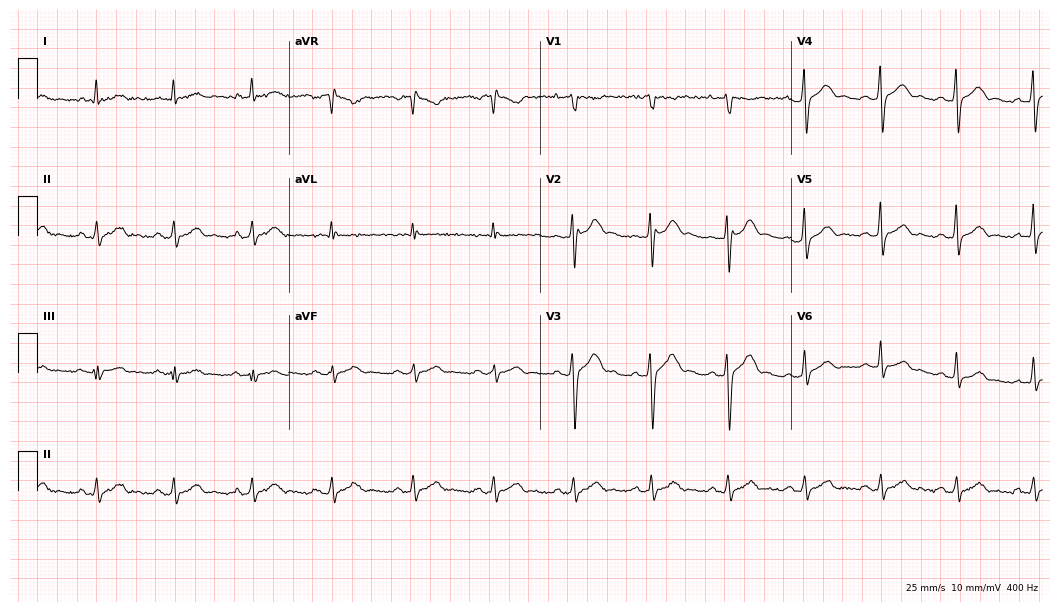
12-lead ECG from a 31-year-old male. Recorded interpretation: within normal limits.